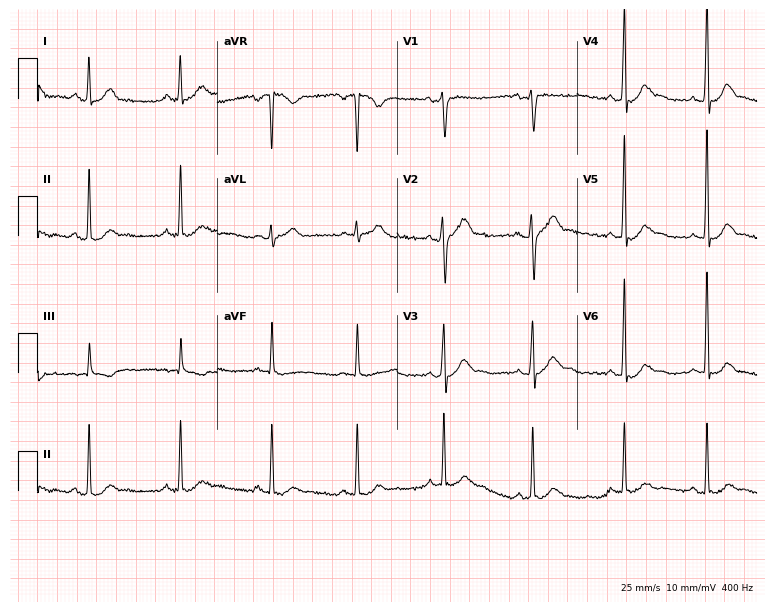
Electrocardiogram, a 23-year-old male patient. Overall reading on record: normal ECG.